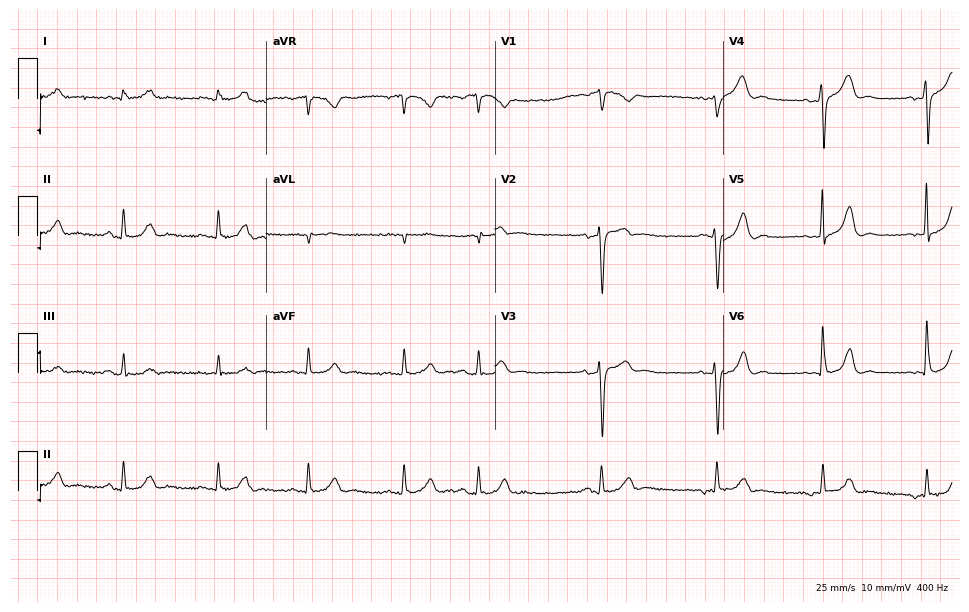
Electrocardiogram, a 76-year-old male. Of the six screened findings (first-degree AV block, right bundle branch block (RBBB), left bundle branch block (LBBB), sinus bradycardia, atrial fibrillation (AF), sinus tachycardia), none is recorded.